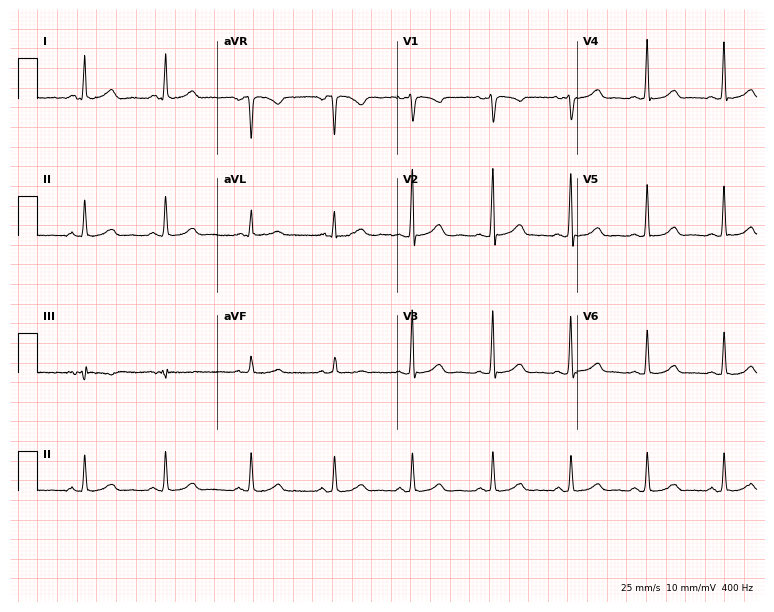
Standard 12-lead ECG recorded from a woman, 38 years old (7.3-second recording at 400 Hz). Read as a normal ECG.